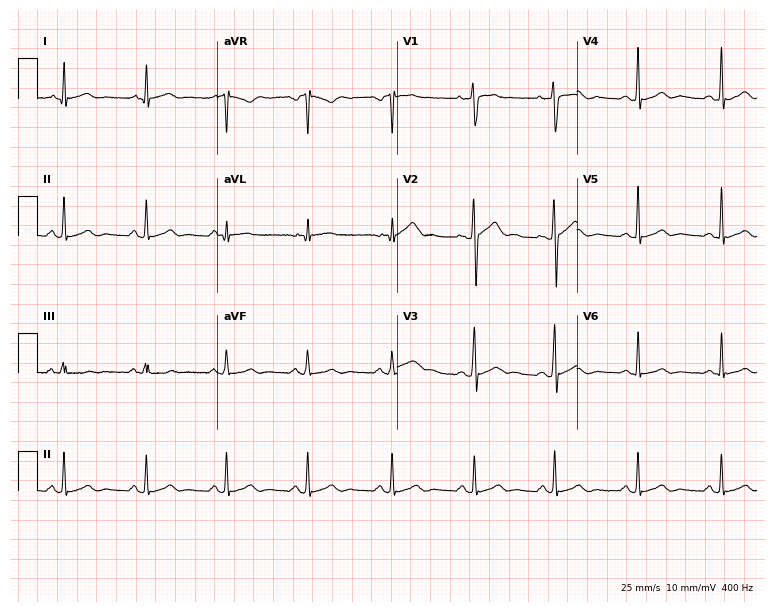
Resting 12-lead electrocardiogram (7.3-second recording at 400 Hz). Patient: a male, 22 years old. Read as a normal ECG.